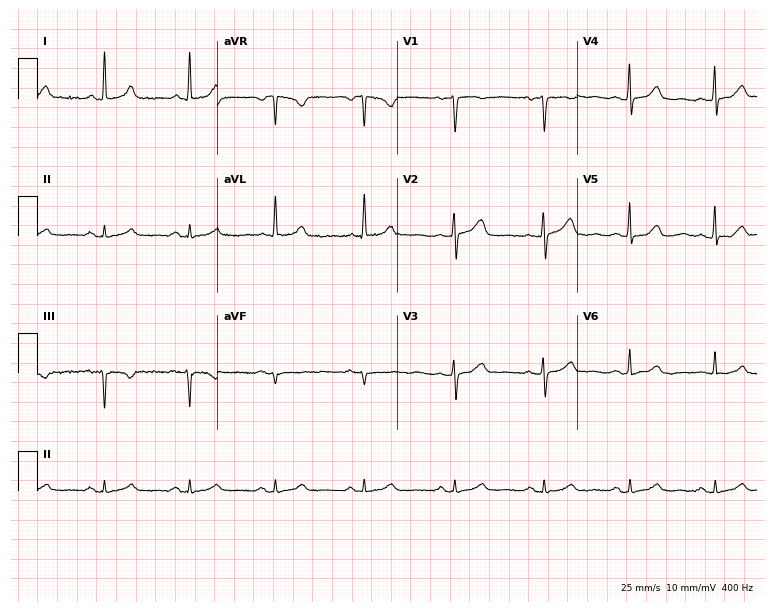
12-lead ECG from a female, 58 years old. Recorded interpretation: within normal limits.